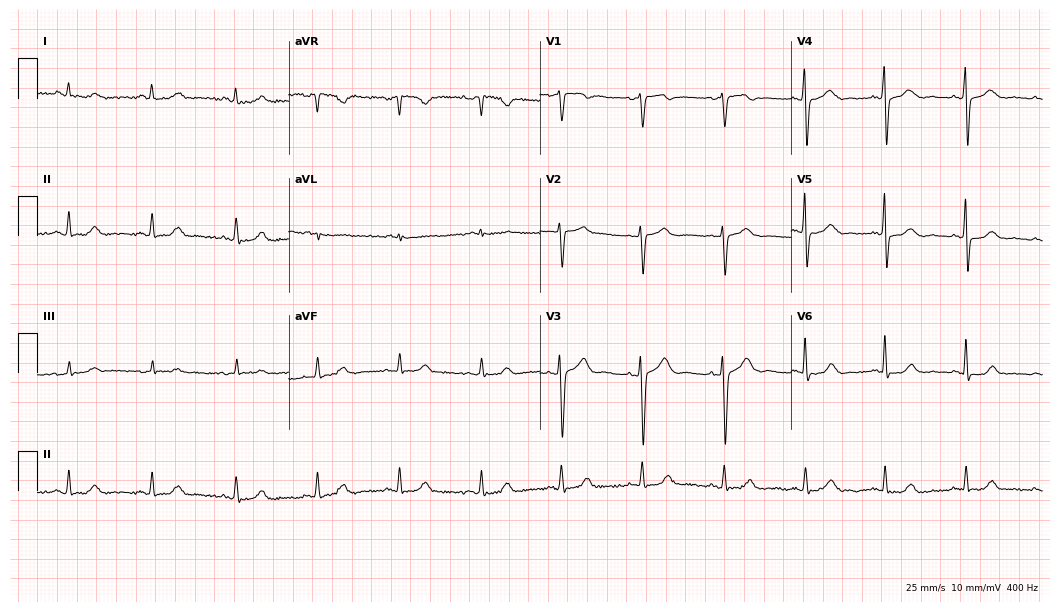
12-lead ECG from a 47-year-old female. Labelled as a normal ECG.